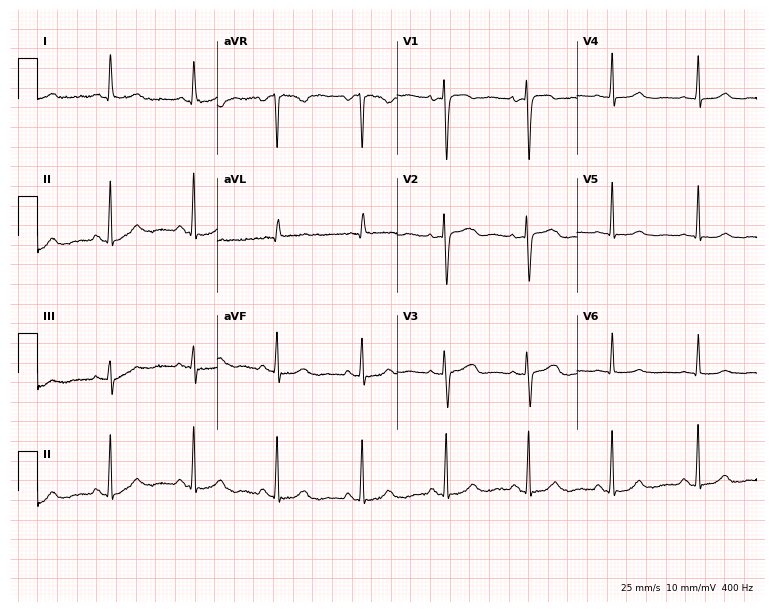
ECG (7.3-second recording at 400 Hz) — a woman, 60 years old. Screened for six findings — first-degree AV block, right bundle branch block (RBBB), left bundle branch block (LBBB), sinus bradycardia, atrial fibrillation (AF), sinus tachycardia — none is recorded. Other findings, if any, are not listed.